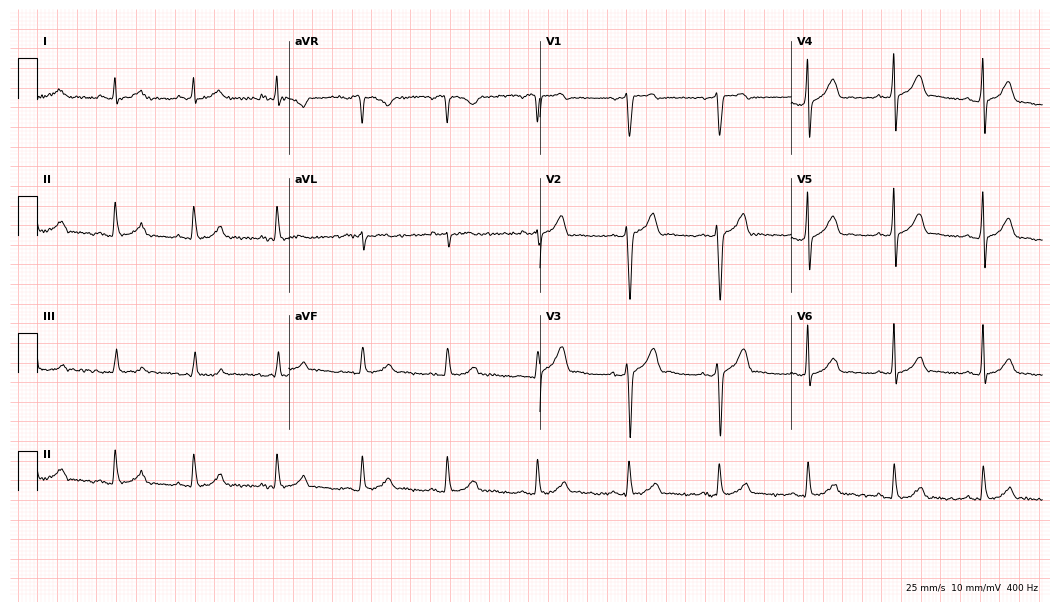
Standard 12-lead ECG recorded from a 37-year-old male (10.2-second recording at 400 Hz). Read as a normal ECG.